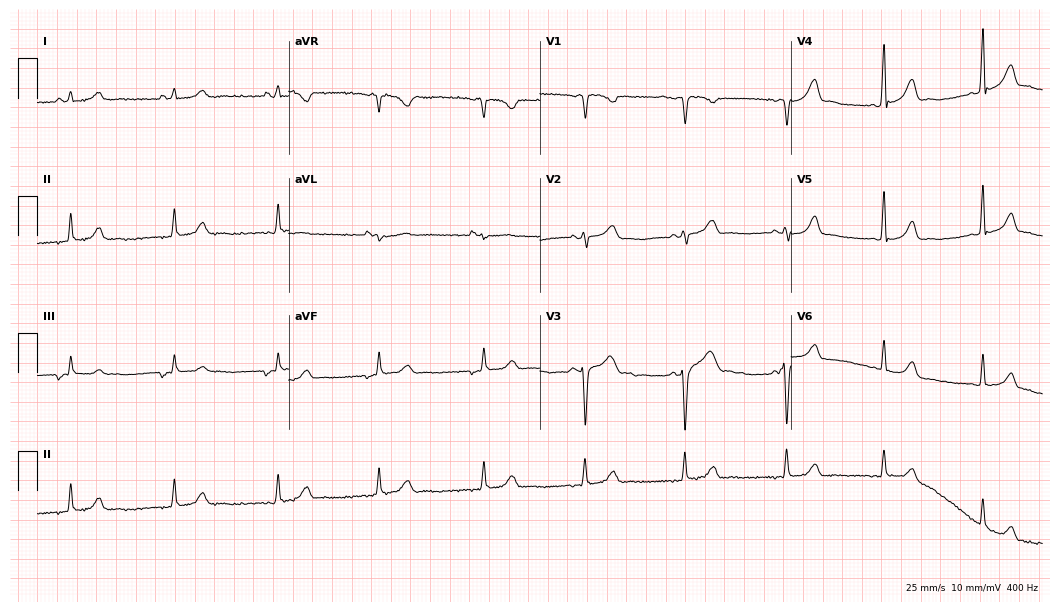
Electrocardiogram, a 27-year-old female. Overall reading on record: normal ECG.